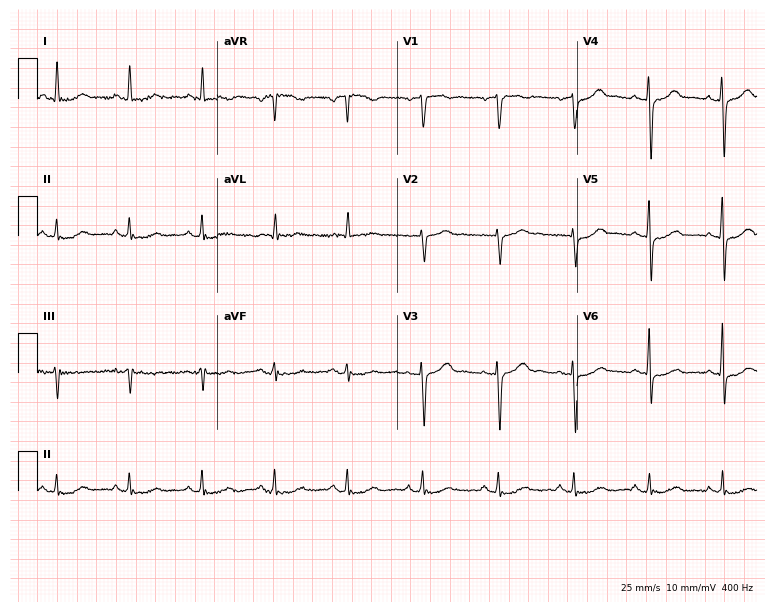
ECG — a woman, 73 years old. Screened for six findings — first-degree AV block, right bundle branch block (RBBB), left bundle branch block (LBBB), sinus bradycardia, atrial fibrillation (AF), sinus tachycardia — none is recorded.